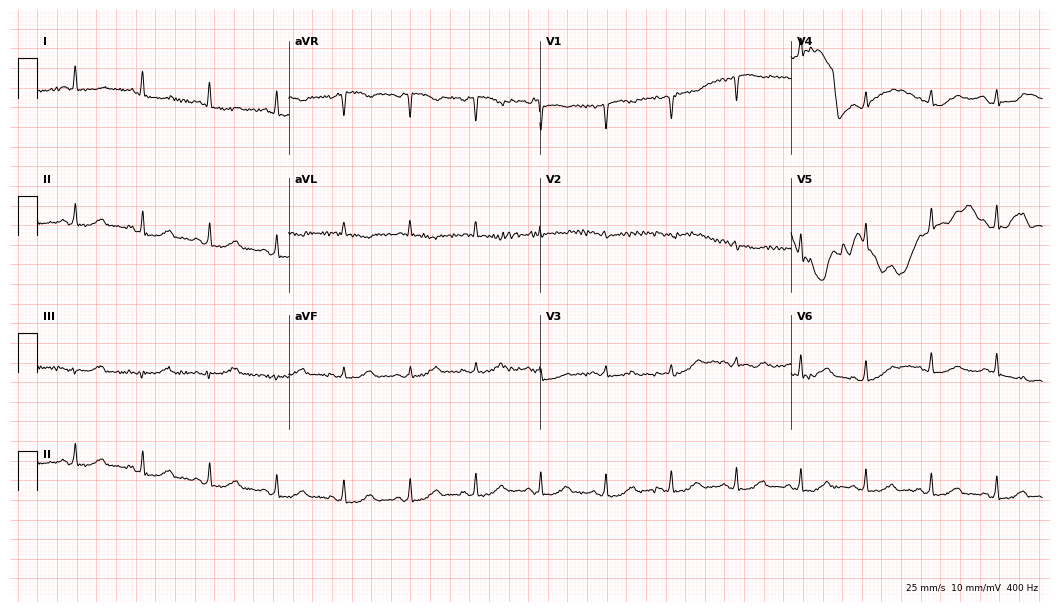
Standard 12-lead ECG recorded from a female patient, 62 years old (10.2-second recording at 400 Hz). None of these six findings is recorded: first-degree AV block, right bundle branch block (RBBB), left bundle branch block (LBBB), sinus bradycardia, atrial fibrillation (AF), sinus tachycardia.